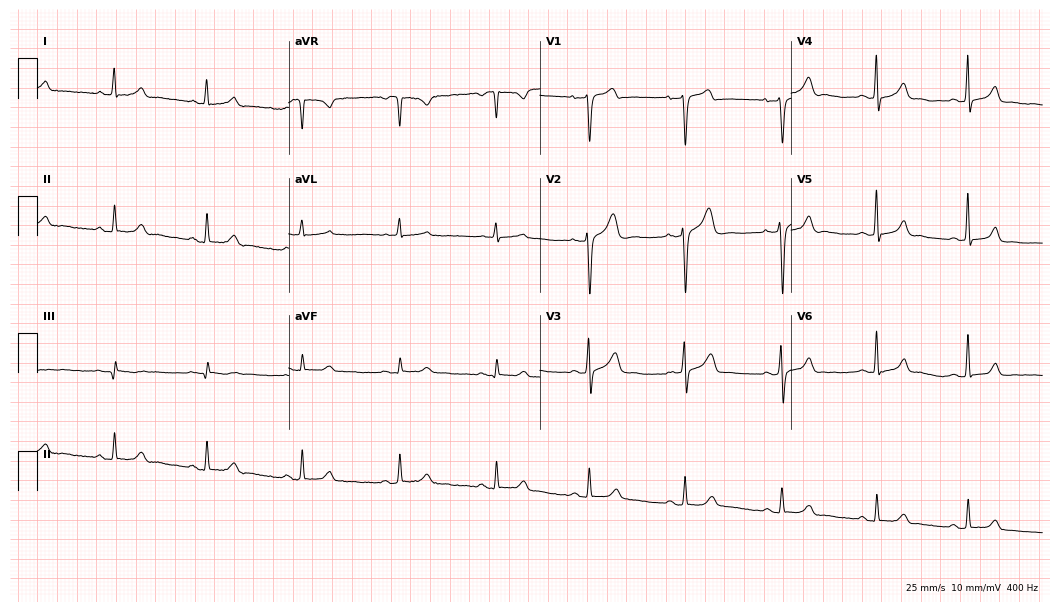
ECG — a 51-year-old female patient. Labelled as a normal ECG.